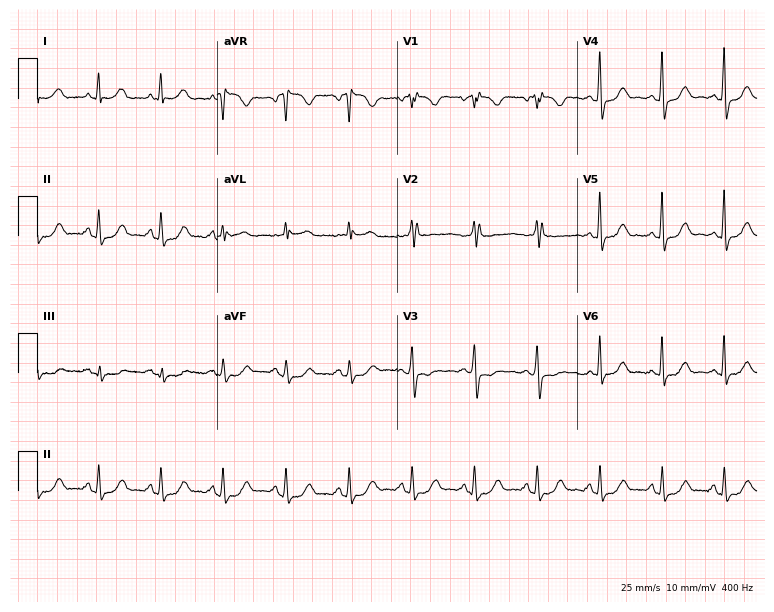
Resting 12-lead electrocardiogram. Patient: a female, 78 years old. None of these six findings is recorded: first-degree AV block, right bundle branch block, left bundle branch block, sinus bradycardia, atrial fibrillation, sinus tachycardia.